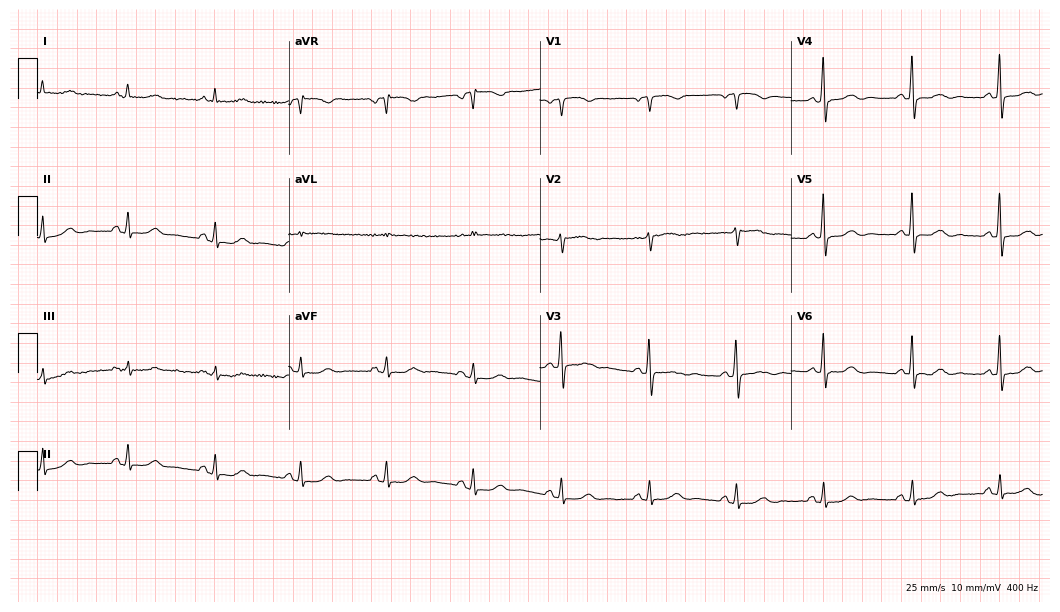
ECG (10.2-second recording at 400 Hz) — a female, 63 years old. Labelled as a normal ECG.